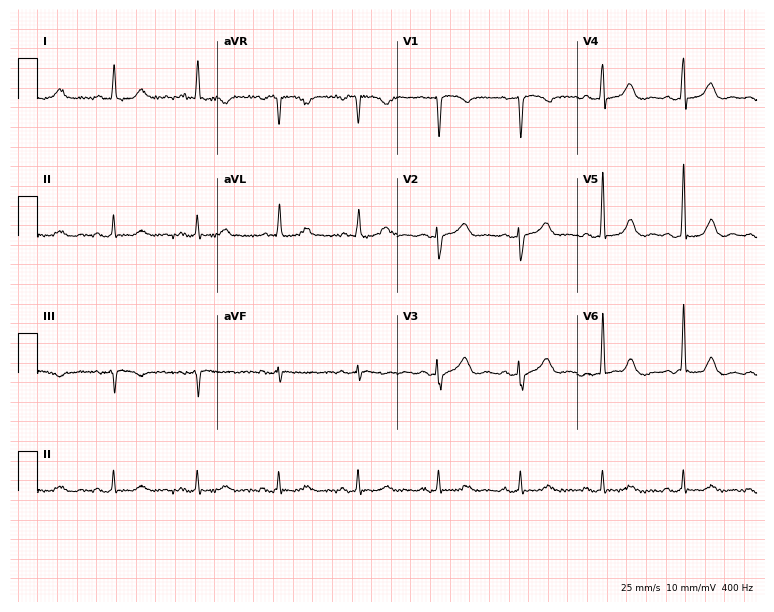
12-lead ECG (7.3-second recording at 400 Hz) from a 47-year-old female. Labelled as a normal ECG.